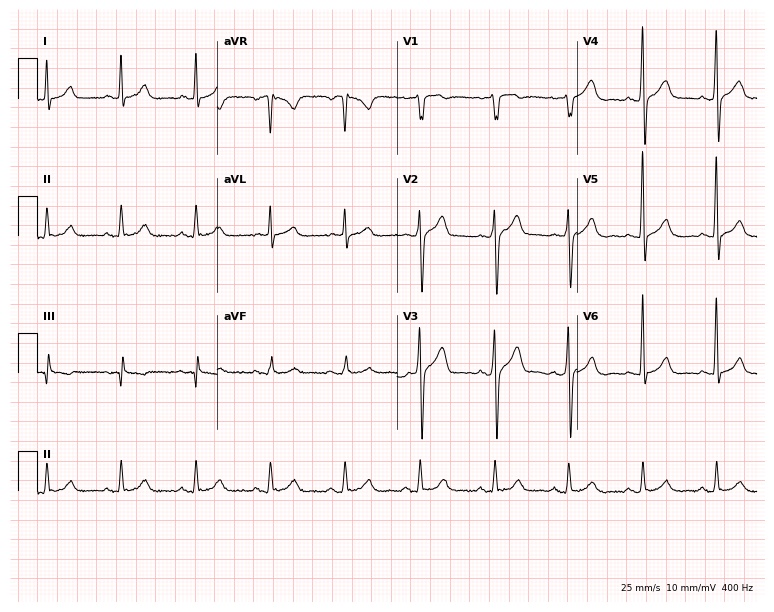
Electrocardiogram (7.3-second recording at 400 Hz), a 50-year-old man. Of the six screened findings (first-degree AV block, right bundle branch block, left bundle branch block, sinus bradycardia, atrial fibrillation, sinus tachycardia), none is recorded.